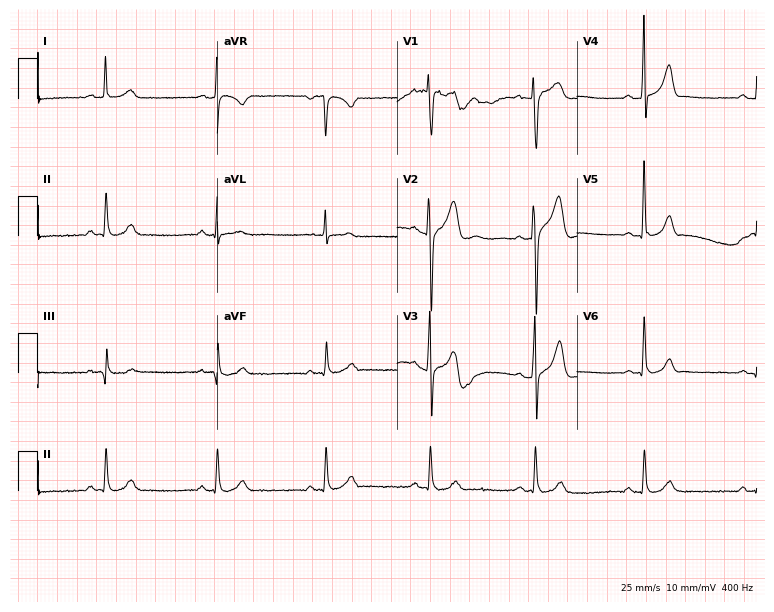
12-lead ECG from a male, 34 years old (7.3-second recording at 400 Hz). No first-degree AV block, right bundle branch block, left bundle branch block, sinus bradycardia, atrial fibrillation or sinus tachycardia recorded for this tracing. Findings outside these six are not listed.